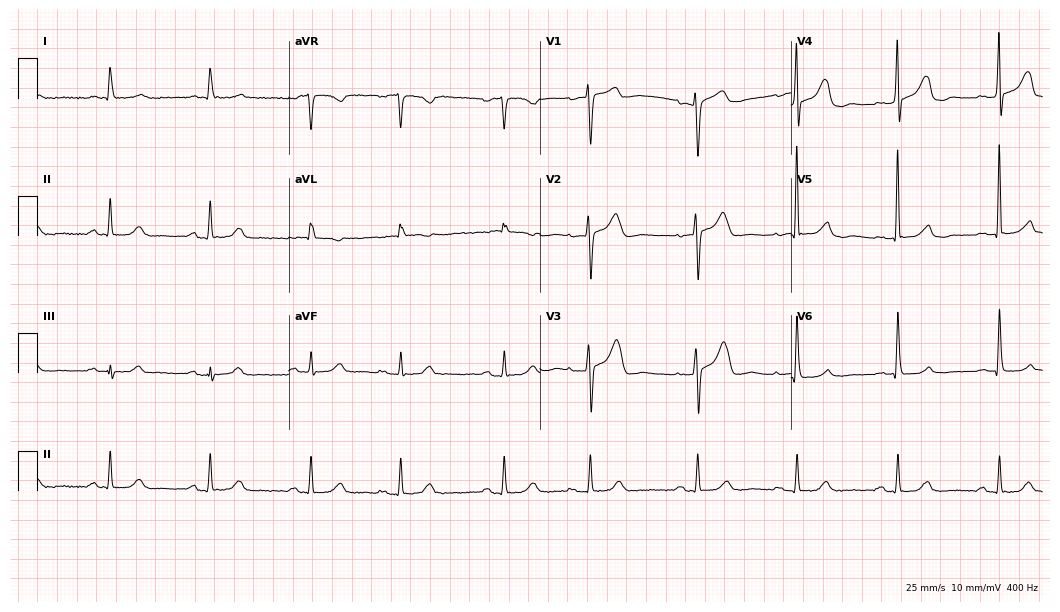
12-lead ECG from a man, 78 years old (10.2-second recording at 400 Hz). No first-degree AV block, right bundle branch block (RBBB), left bundle branch block (LBBB), sinus bradycardia, atrial fibrillation (AF) or sinus tachycardia recorded for this tracing. Other findings, if any, are not listed.